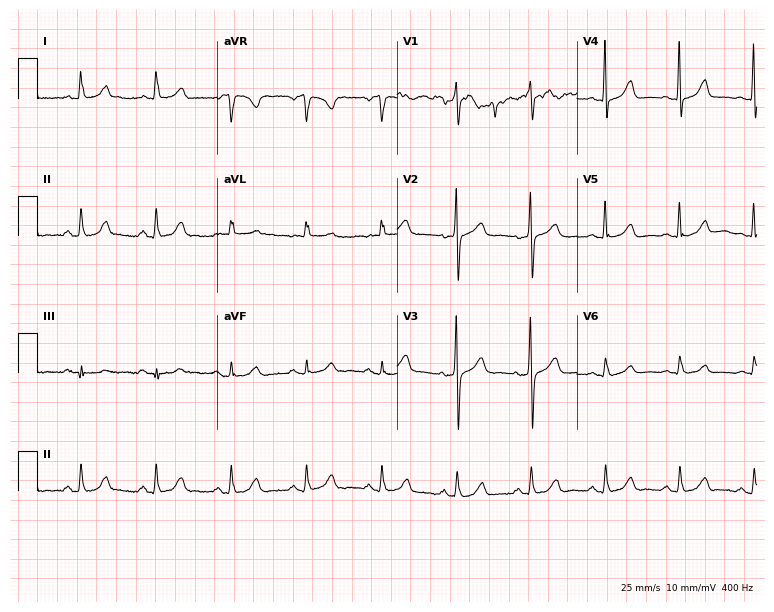
Standard 12-lead ECG recorded from a female patient, 68 years old. Read as a normal ECG.